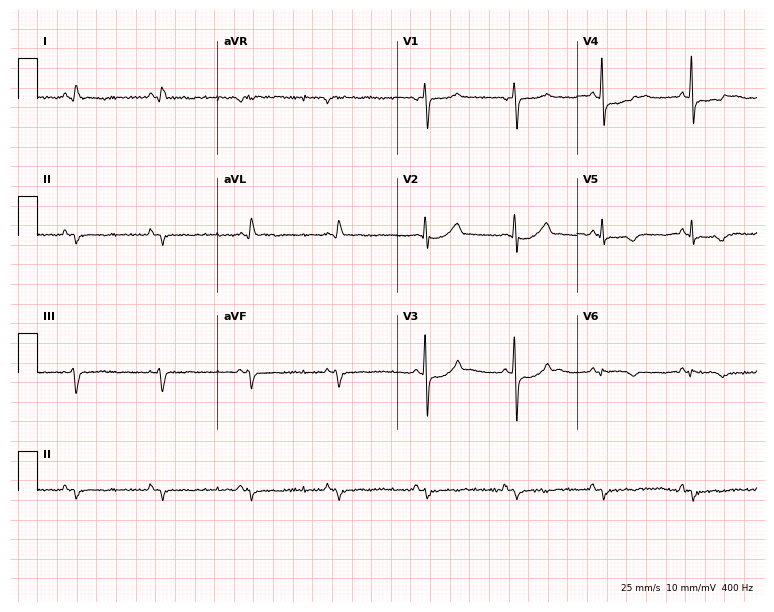
Electrocardiogram, a male, 82 years old. Of the six screened findings (first-degree AV block, right bundle branch block (RBBB), left bundle branch block (LBBB), sinus bradycardia, atrial fibrillation (AF), sinus tachycardia), none is recorded. Findings outside these six are not listed.